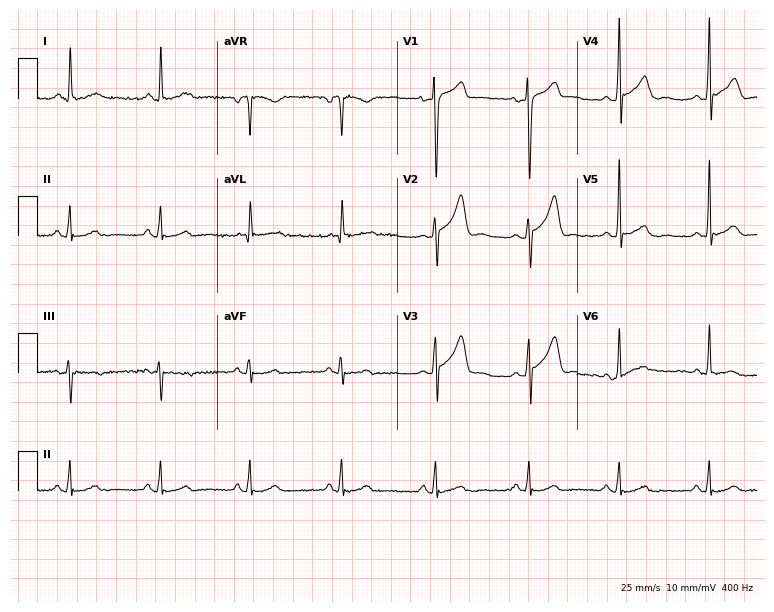
ECG (7.3-second recording at 400 Hz) — a male patient, 39 years old. Labelled as a normal ECG.